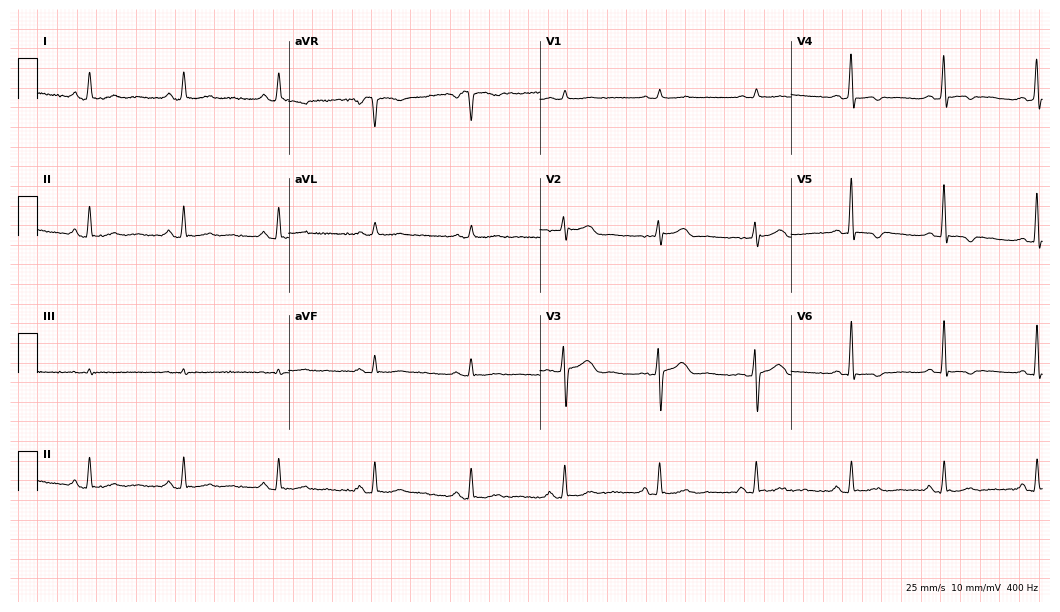
Electrocardiogram (10.2-second recording at 400 Hz), a woman, 45 years old. Of the six screened findings (first-degree AV block, right bundle branch block, left bundle branch block, sinus bradycardia, atrial fibrillation, sinus tachycardia), none is recorded. Findings outside these six are not listed.